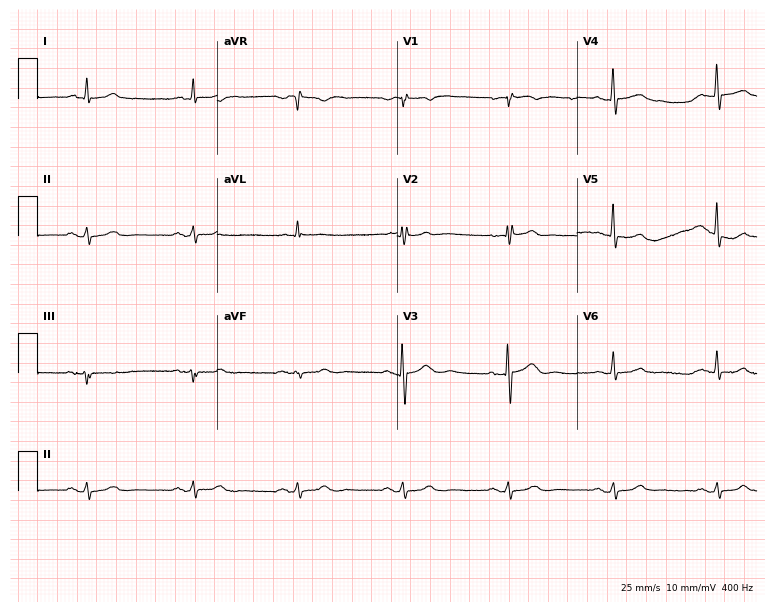
12-lead ECG from a man, 79 years old. Screened for six findings — first-degree AV block, right bundle branch block, left bundle branch block, sinus bradycardia, atrial fibrillation, sinus tachycardia — none is recorded. Only these six findings were labelled.